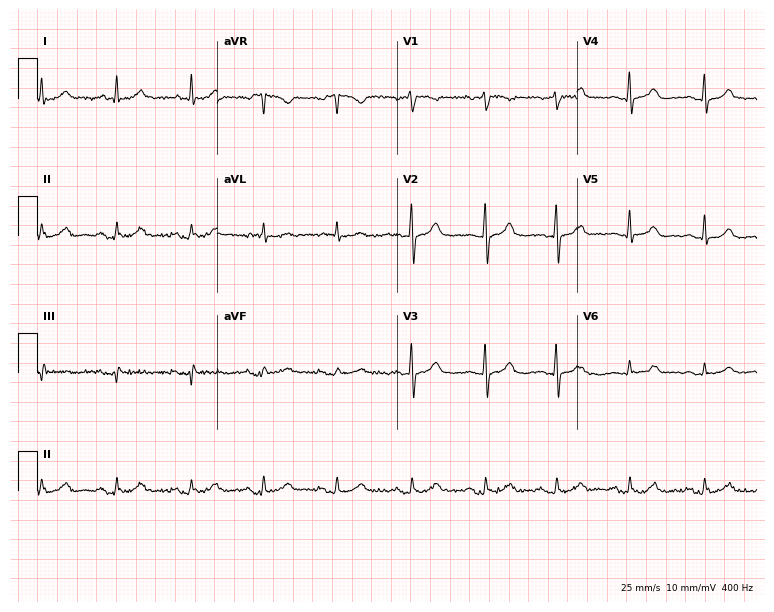
Resting 12-lead electrocardiogram. Patient: a woman, 66 years old. Read as a normal ECG.